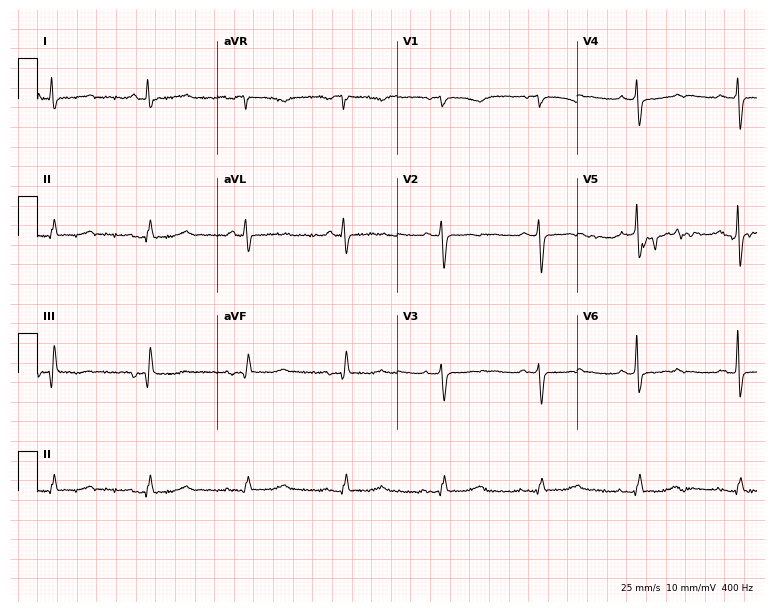
ECG — a female patient, 69 years old. Screened for six findings — first-degree AV block, right bundle branch block (RBBB), left bundle branch block (LBBB), sinus bradycardia, atrial fibrillation (AF), sinus tachycardia — none is recorded. Other findings, if any, are not listed.